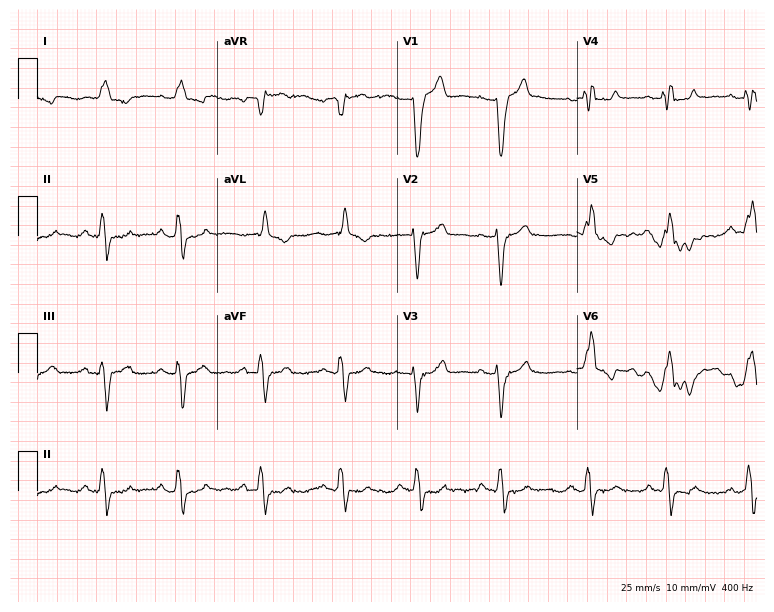
12-lead ECG (7.3-second recording at 400 Hz) from an 84-year-old male patient. Findings include left bundle branch block (LBBB).